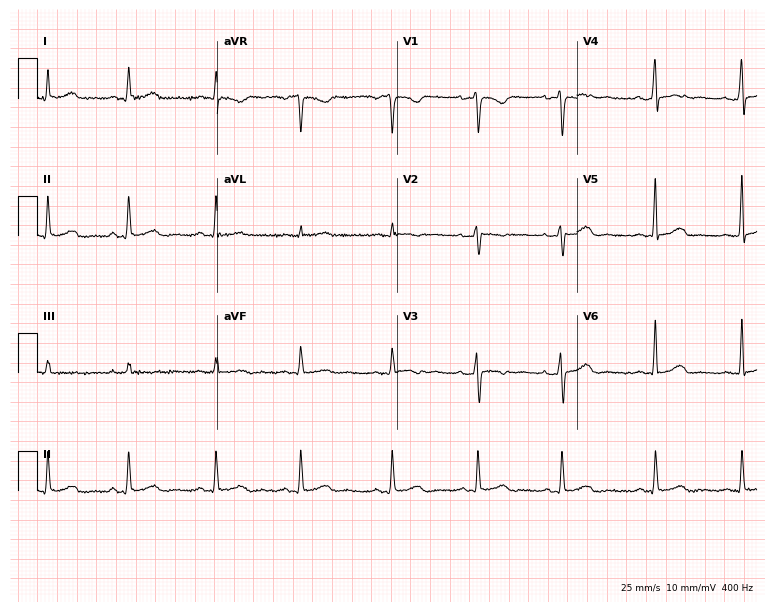
Standard 12-lead ECG recorded from a 33-year-old woman (7.3-second recording at 400 Hz). None of these six findings is recorded: first-degree AV block, right bundle branch block (RBBB), left bundle branch block (LBBB), sinus bradycardia, atrial fibrillation (AF), sinus tachycardia. Findings outside these six are not listed.